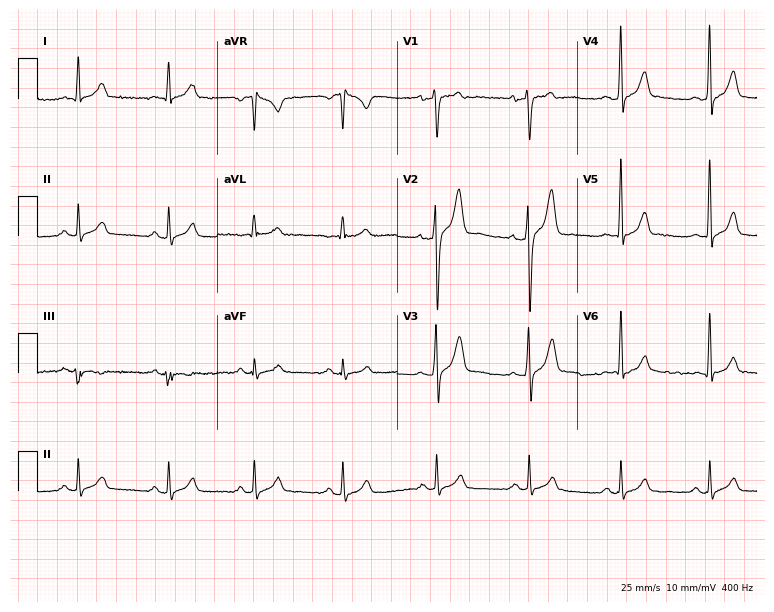
Electrocardiogram, a 28-year-old male. Overall reading on record: normal ECG.